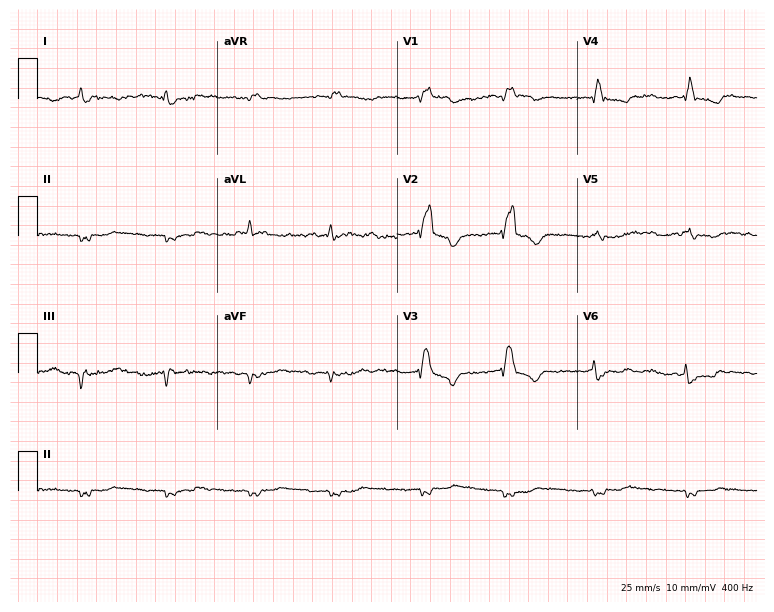
Resting 12-lead electrocardiogram. Patient: an 80-year-old male. None of these six findings is recorded: first-degree AV block, right bundle branch block, left bundle branch block, sinus bradycardia, atrial fibrillation, sinus tachycardia.